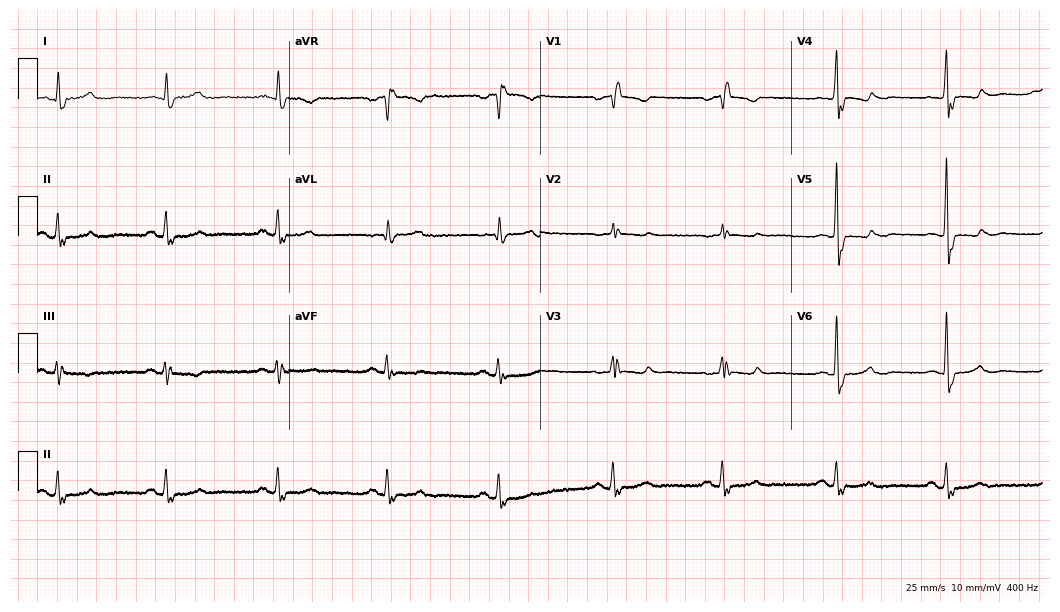
Electrocardiogram, a woman, 88 years old. Of the six screened findings (first-degree AV block, right bundle branch block (RBBB), left bundle branch block (LBBB), sinus bradycardia, atrial fibrillation (AF), sinus tachycardia), none is recorded. Other findings, if any, are not listed.